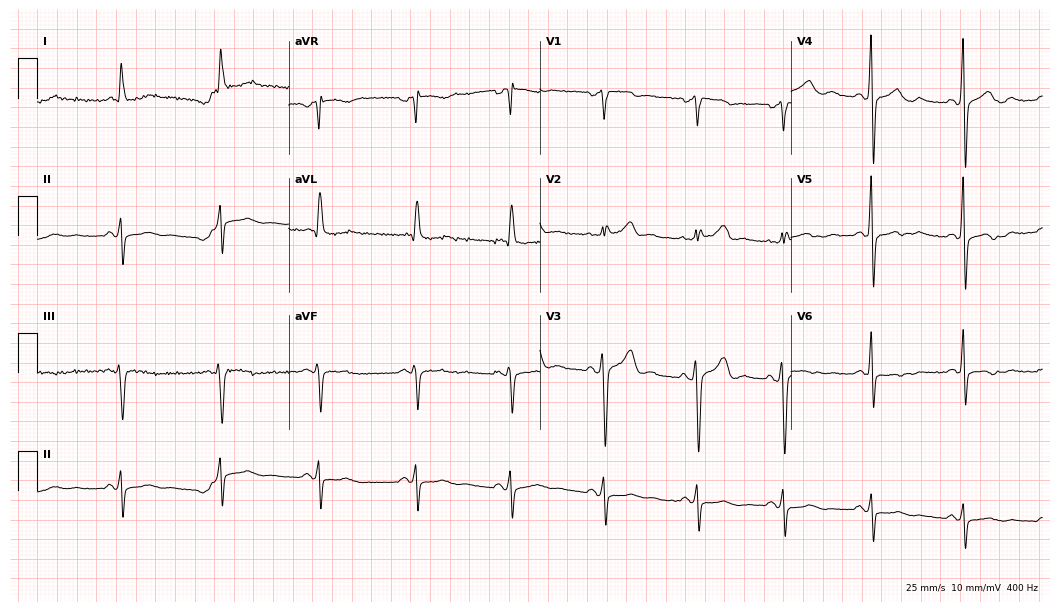
12-lead ECG from a man, 63 years old. Shows left bundle branch block (LBBB).